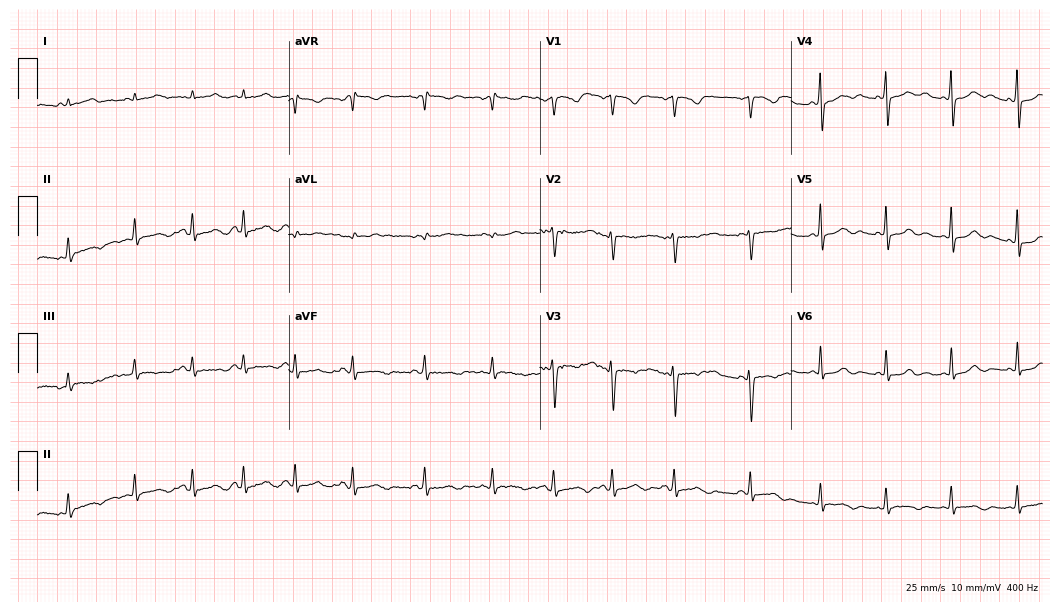
Resting 12-lead electrocardiogram. Patient: a 23-year-old female. None of these six findings is recorded: first-degree AV block, right bundle branch block (RBBB), left bundle branch block (LBBB), sinus bradycardia, atrial fibrillation (AF), sinus tachycardia. Only these six findings were labelled.